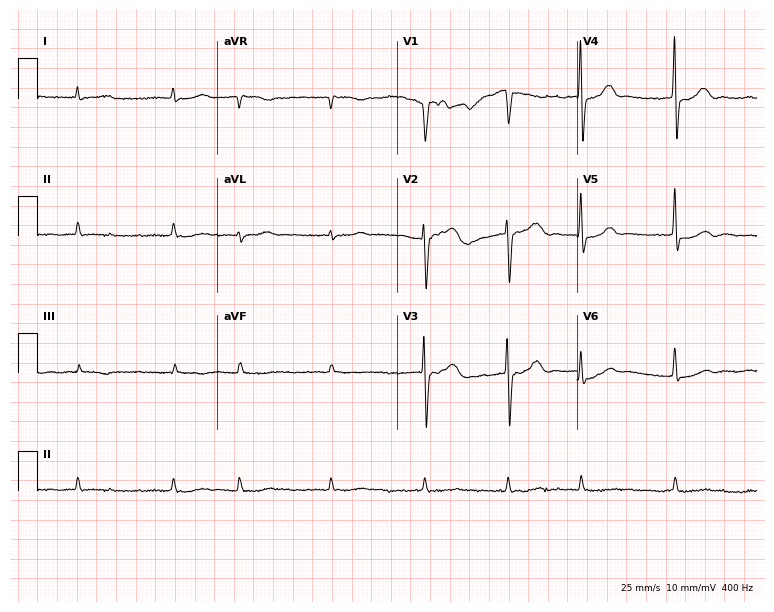
ECG — a male, 83 years old. Findings include atrial fibrillation.